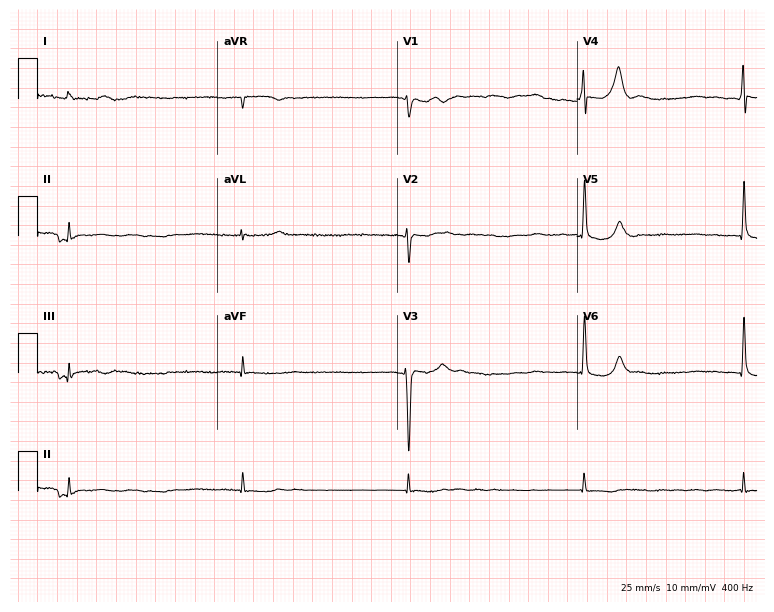
Resting 12-lead electrocardiogram (7.3-second recording at 400 Hz). Patient: a male, 73 years old. None of these six findings is recorded: first-degree AV block, right bundle branch block, left bundle branch block, sinus bradycardia, atrial fibrillation, sinus tachycardia.